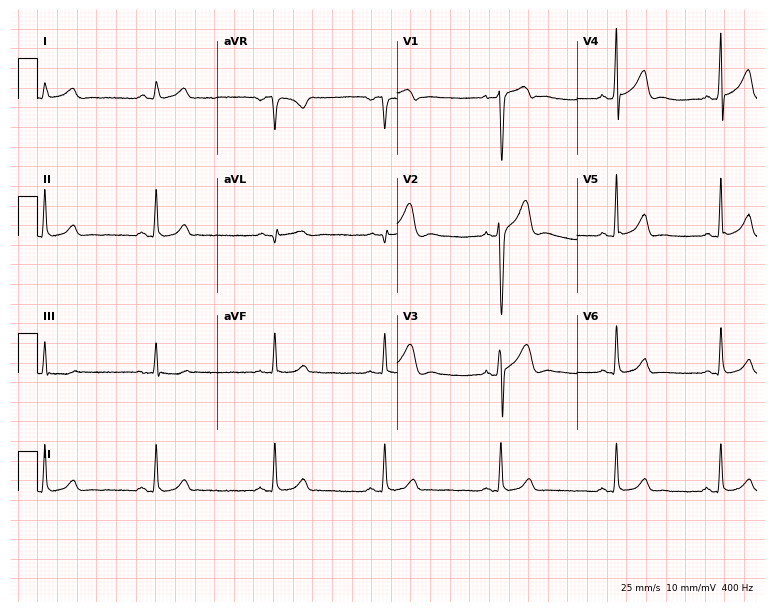
Electrocardiogram (7.3-second recording at 400 Hz), a 29-year-old male patient. Of the six screened findings (first-degree AV block, right bundle branch block, left bundle branch block, sinus bradycardia, atrial fibrillation, sinus tachycardia), none is recorded. Other findings, if any, are not listed.